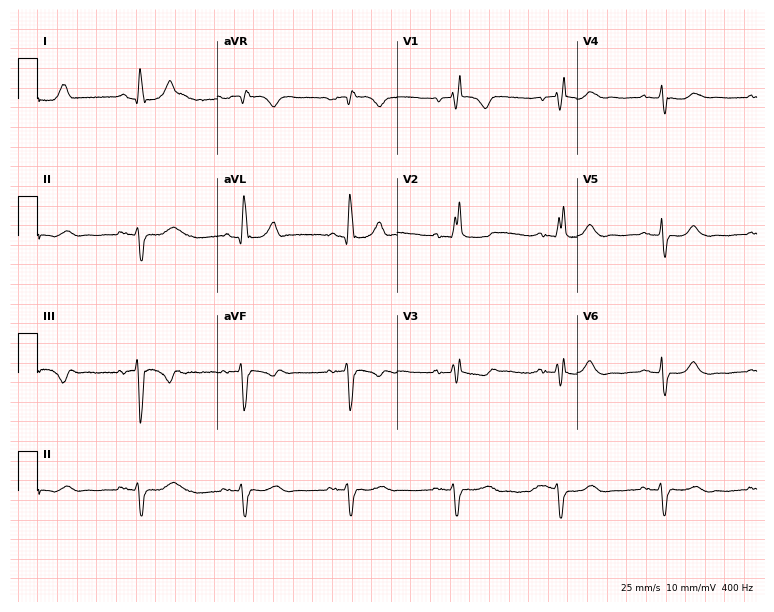
12-lead ECG from a female, 75 years old (7.3-second recording at 400 Hz). No first-degree AV block, right bundle branch block (RBBB), left bundle branch block (LBBB), sinus bradycardia, atrial fibrillation (AF) or sinus tachycardia recorded for this tracing. Other findings, if any, are not listed.